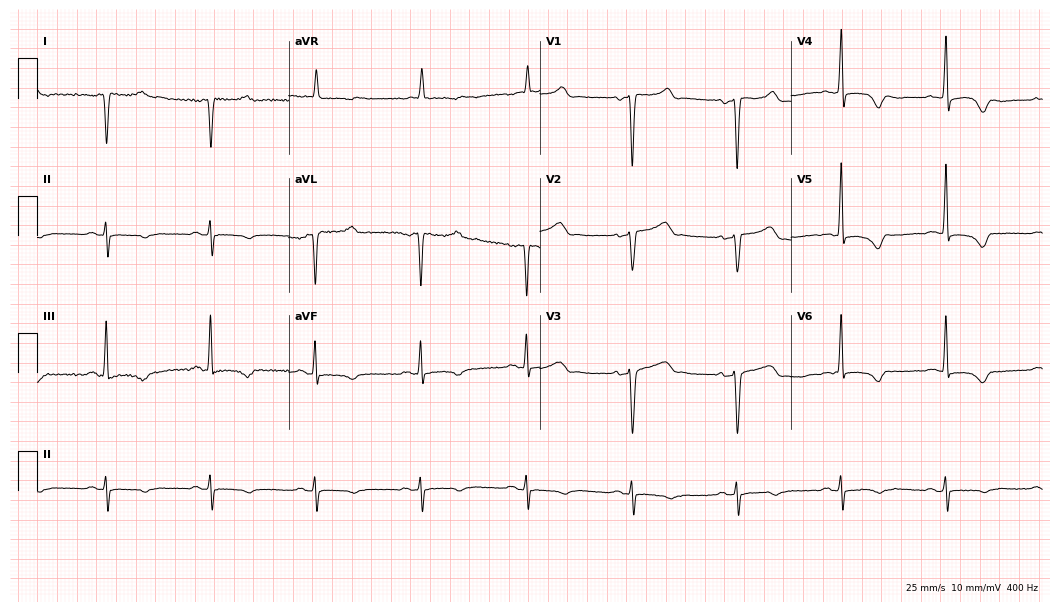
12-lead ECG from a woman, 82 years old. No first-degree AV block, right bundle branch block (RBBB), left bundle branch block (LBBB), sinus bradycardia, atrial fibrillation (AF) or sinus tachycardia recorded for this tracing. Only these six findings were labelled.